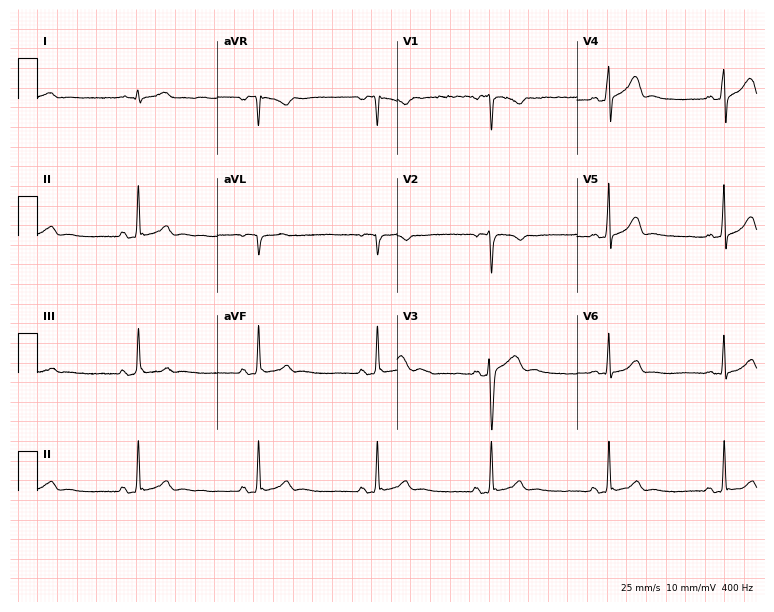
Resting 12-lead electrocardiogram (7.3-second recording at 400 Hz). Patient: a 23-year-old man. None of these six findings is recorded: first-degree AV block, right bundle branch block (RBBB), left bundle branch block (LBBB), sinus bradycardia, atrial fibrillation (AF), sinus tachycardia. Findings outside these six are not listed.